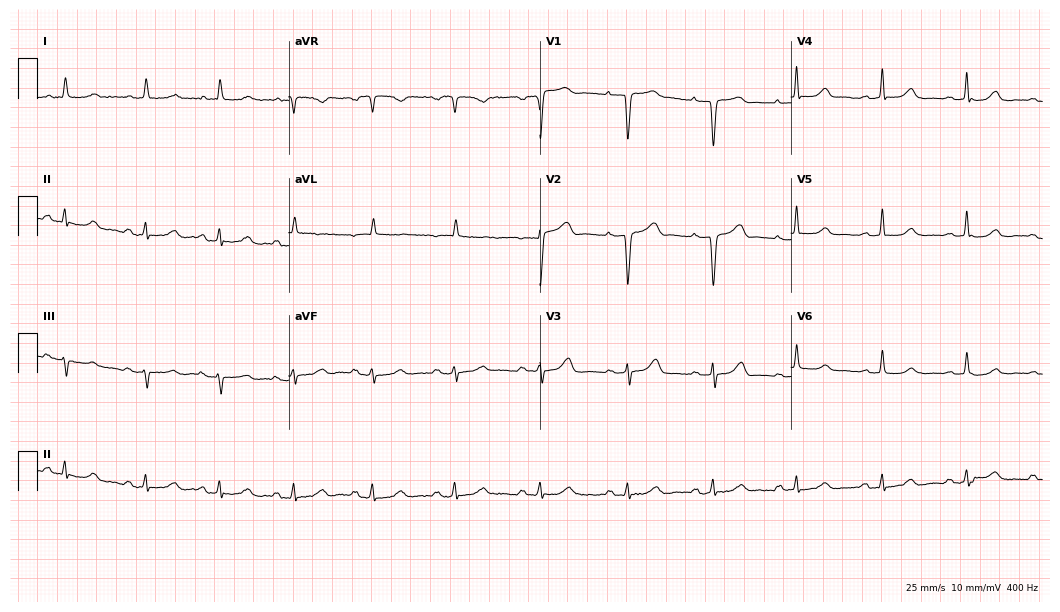
12-lead ECG (10.2-second recording at 400 Hz) from a female, 77 years old. Screened for six findings — first-degree AV block, right bundle branch block, left bundle branch block, sinus bradycardia, atrial fibrillation, sinus tachycardia — none is recorded.